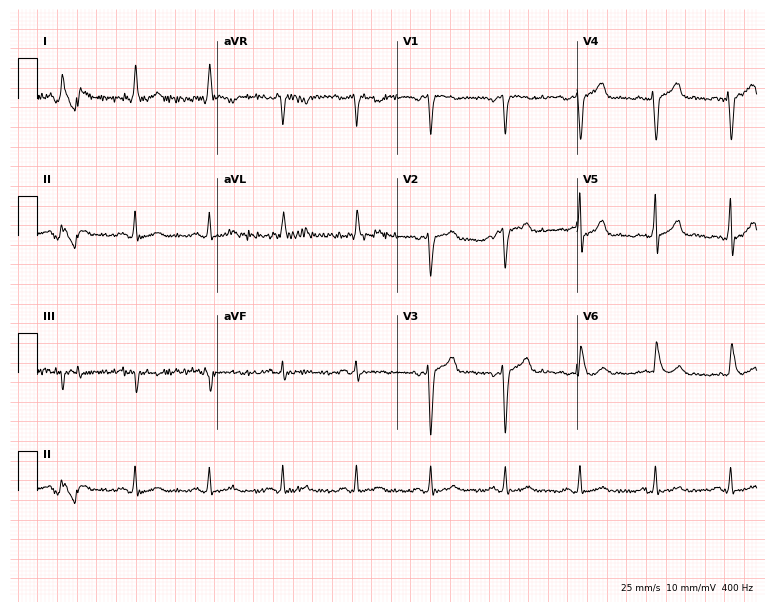
Standard 12-lead ECG recorded from a male, 62 years old (7.3-second recording at 400 Hz). Read as a normal ECG.